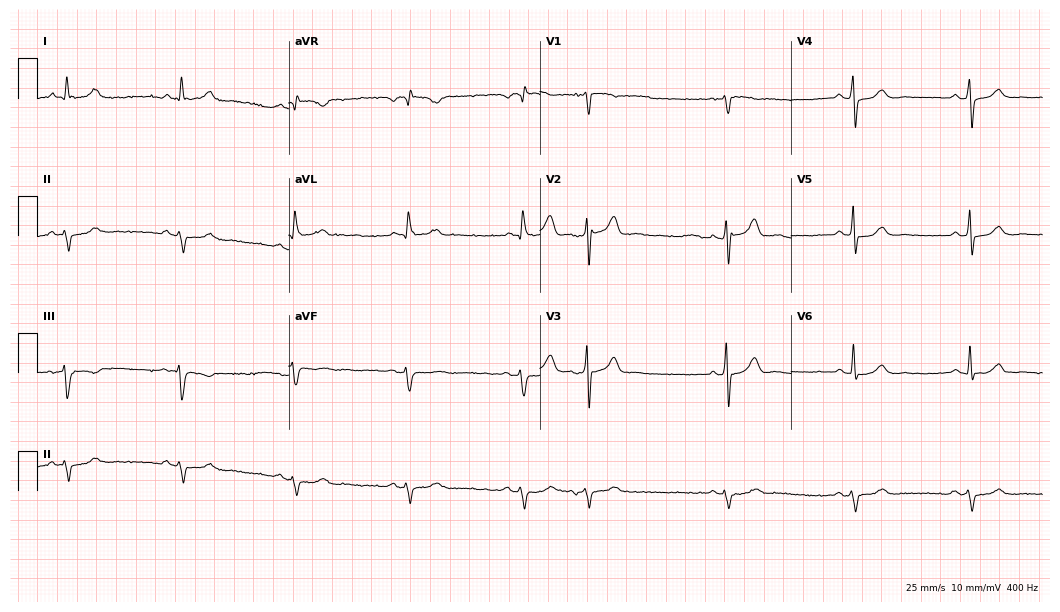
ECG — a 69-year-old male. Screened for six findings — first-degree AV block, right bundle branch block, left bundle branch block, sinus bradycardia, atrial fibrillation, sinus tachycardia — none is recorded.